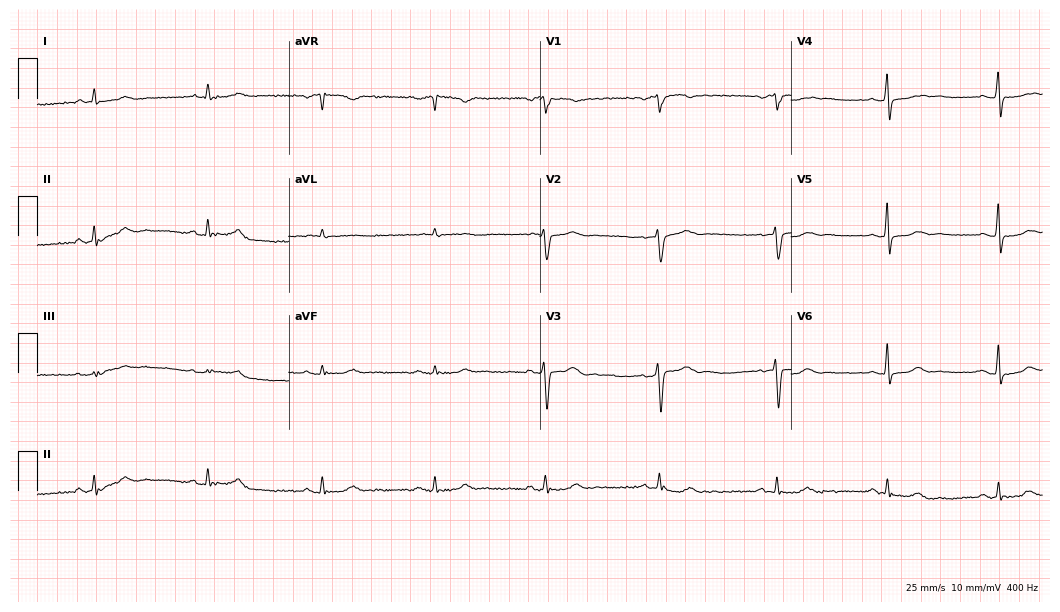
Resting 12-lead electrocardiogram. Patient: a female, 49 years old. None of these six findings is recorded: first-degree AV block, right bundle branch block (RBBB), left bundle branch block (LBBB), sinus bradycardia, atrial fibrillation (AF), sinus tachycardia. Findings outside these six are not listed.